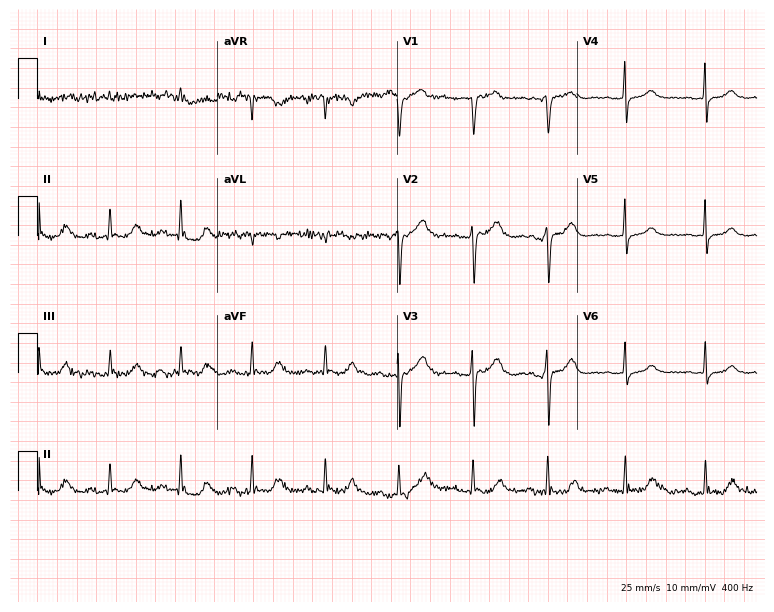
Resting 12-lead electrocardiogram (7.3-second recording at 400 Hz). Patient: a male, 84 years old. None of these six findings is recorded: first-degree AV block, right bundle branch block, left bundle branch block, sinus bradycardia, atrial fibrillation, sinus tachycardia. Other findings, if any, are not listed.